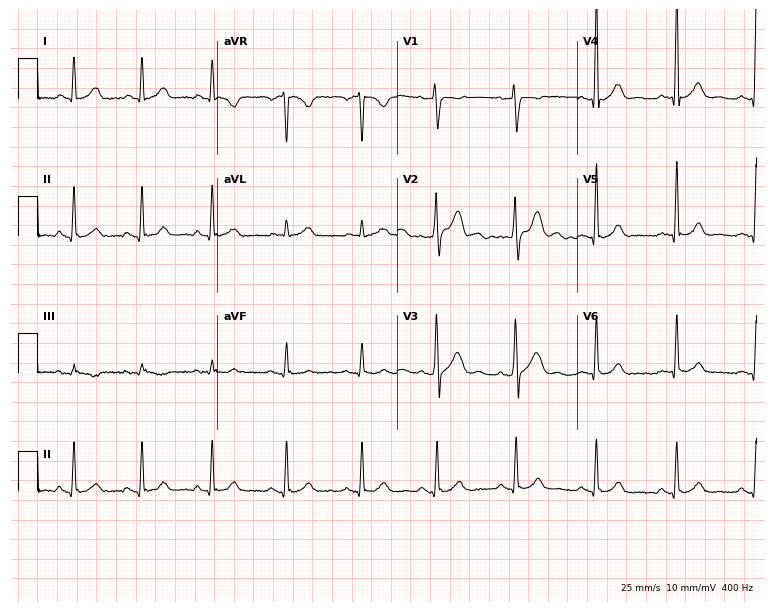
Standard 12-lead ECG recorded from a 49-year-old man (7.3-second recording at 400 Hz). Read as a normal ECG.